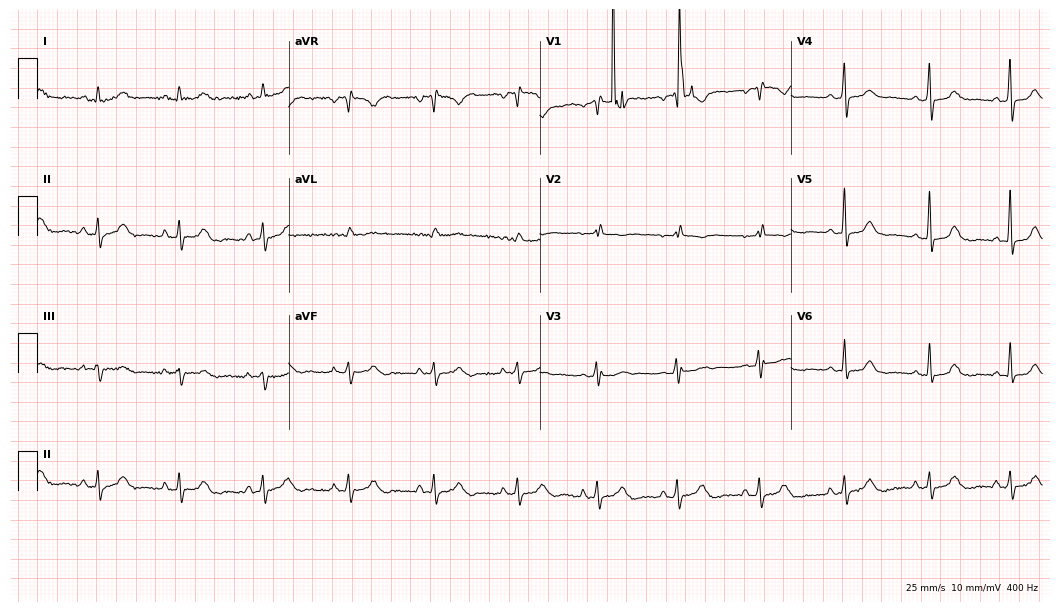
Standard 12-lead ECG recorded from a woman, 43 years old (10.2-second recording at 400 Hz). None of these six findings is recorded: first-degree AV block, right bundle branch block (RBBB), left bundle branch block (LBBB), sinus bradycardia, atrial fibrillation (AF), sinus tachycardia. Findings outside these six are not listed.